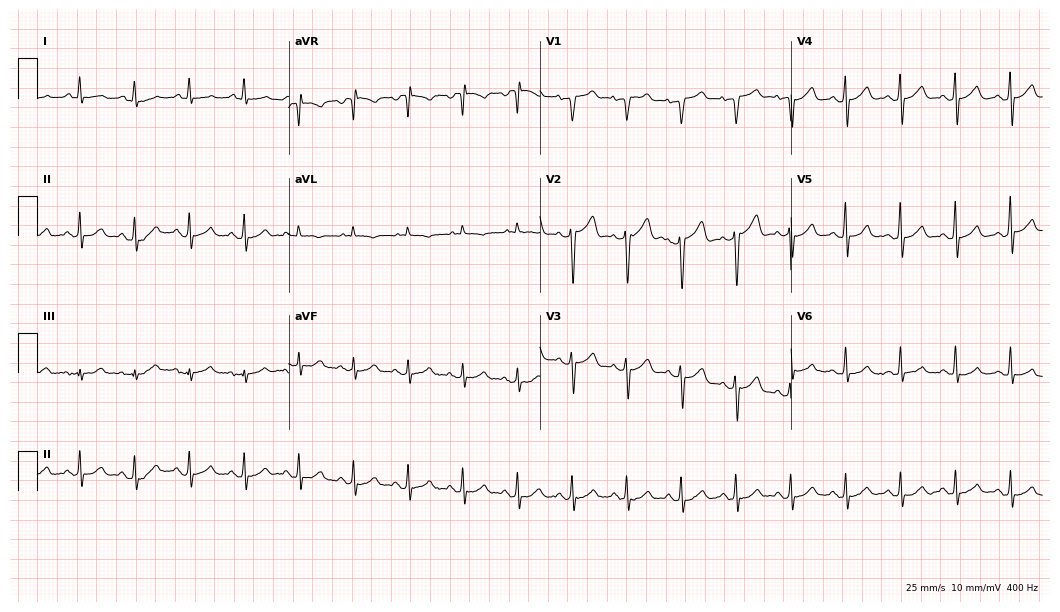
12-lead ECG from a male, 67 years old. Shows sinus tachycardia (a sinus rate of 100 beats per minute or more).